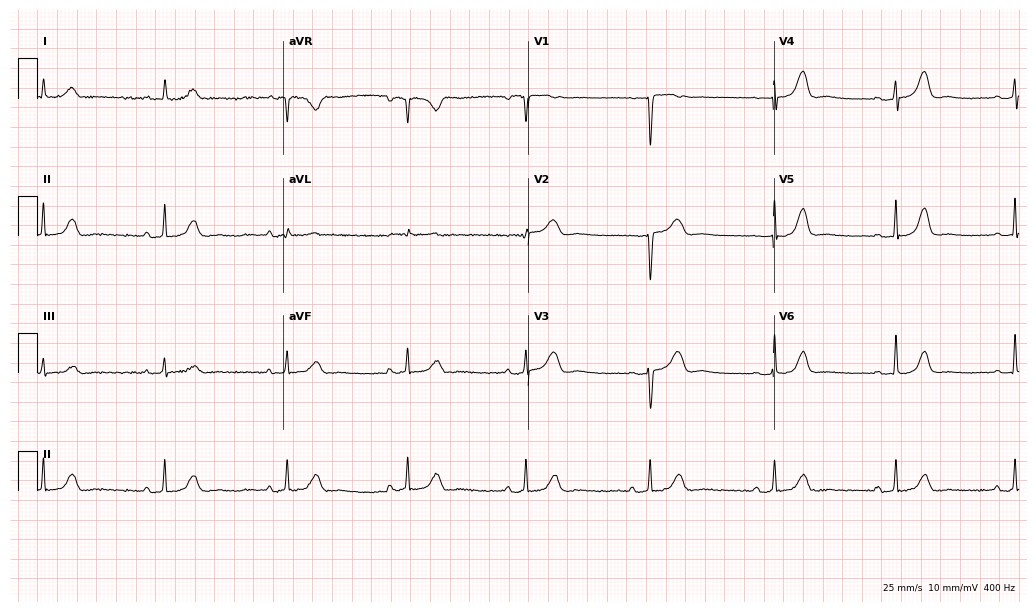
Resting 12-lead electrocardiogram (10-second recording at 400 Hz). Patient: a woman, 71 years old. The tracing shows sinus bradycardia (a sinus rate of 50 beats per minute or less).